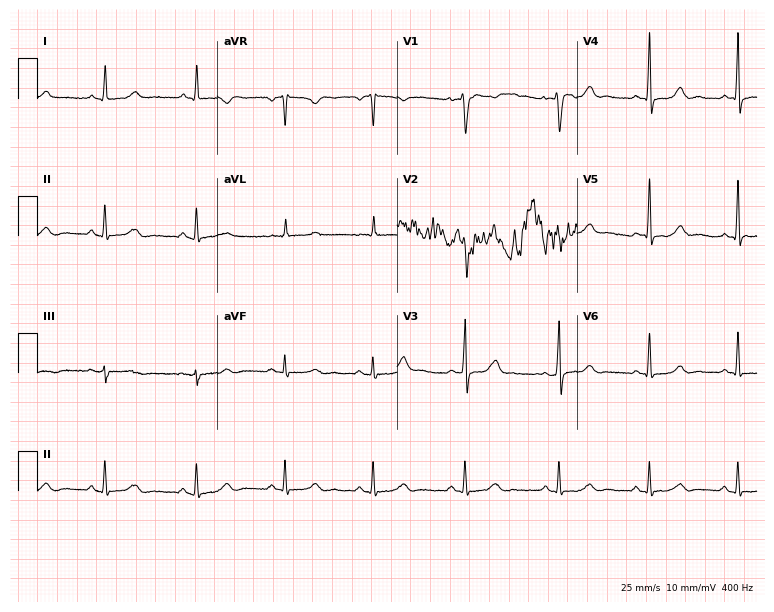
Resting 12-lead electrocardiogram (7.3-second recording at 400 Hz). Patient: a female, 42 years old. Read as a normal ECG.